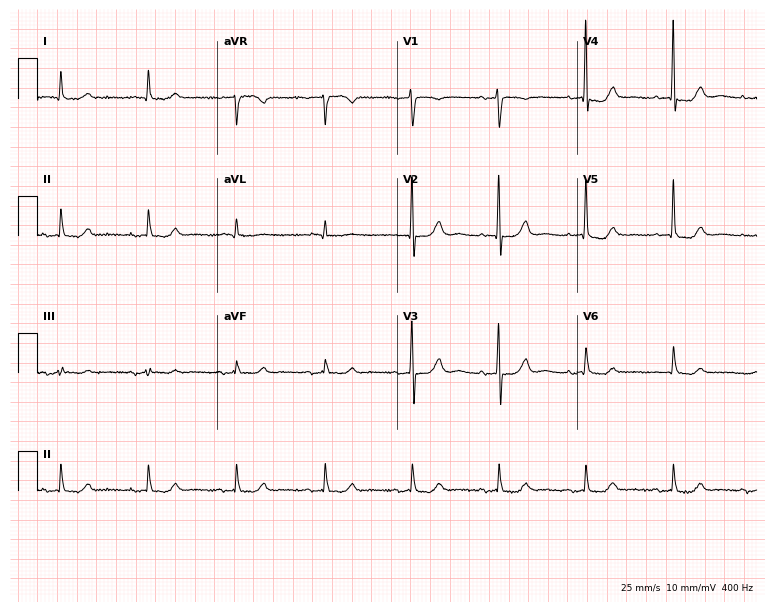
12-lead ECG from a 69-year-old female patient. No first-degree AV block, right bundle branch block, left bundle branch block, sinus bradycardia, atrial fibrillation or sinus tachycardia recorded for this tracing. Findings outside these six are not listed.